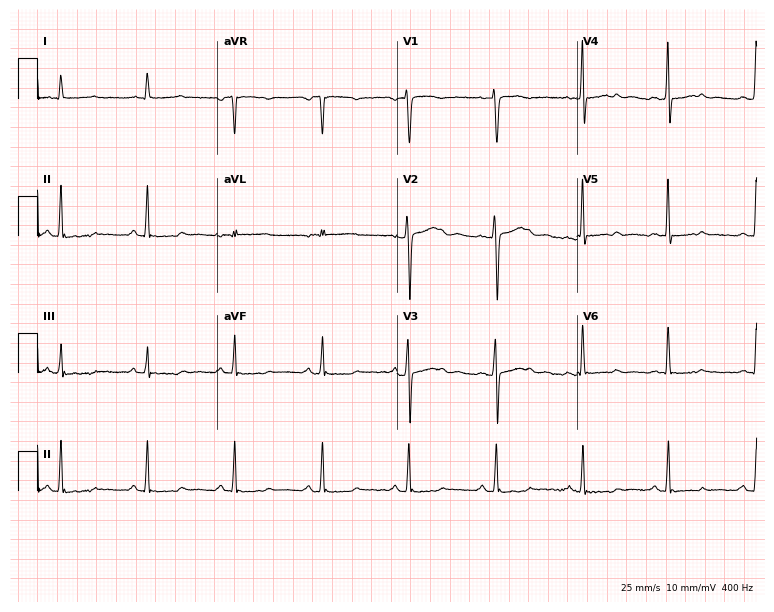
Standard 12-lead ECG recorded from a 54-year-old woman. None of these six findings is recorded: first-degree AV block, right bundle branch block, left bundle branch block, sinus bradycardia, atrial fibrillation, sinus tachycardia.